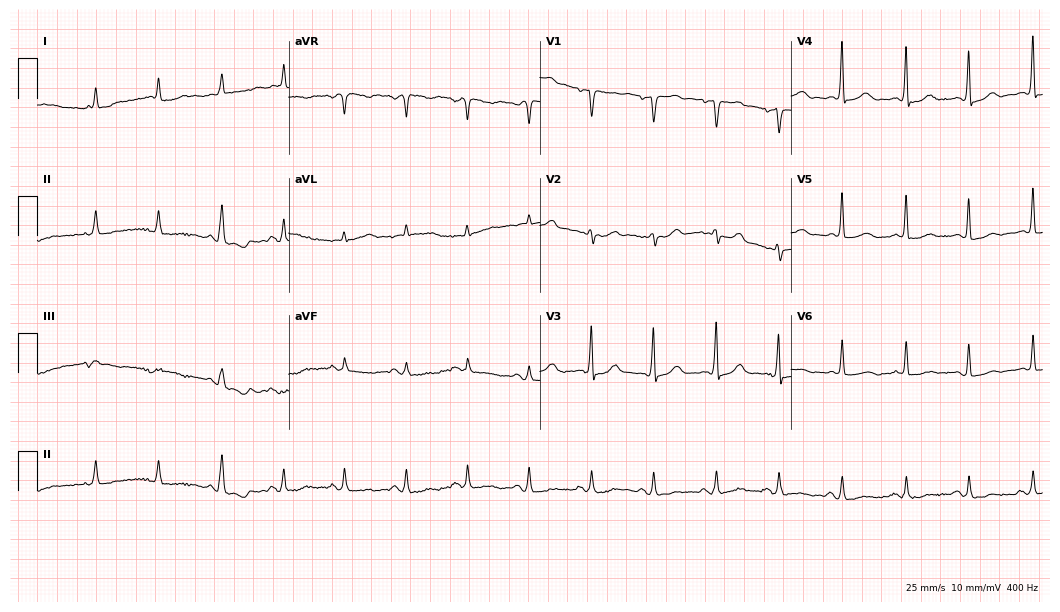
ECG — an 80-year-old female patient. Labelled as a normal ECG.